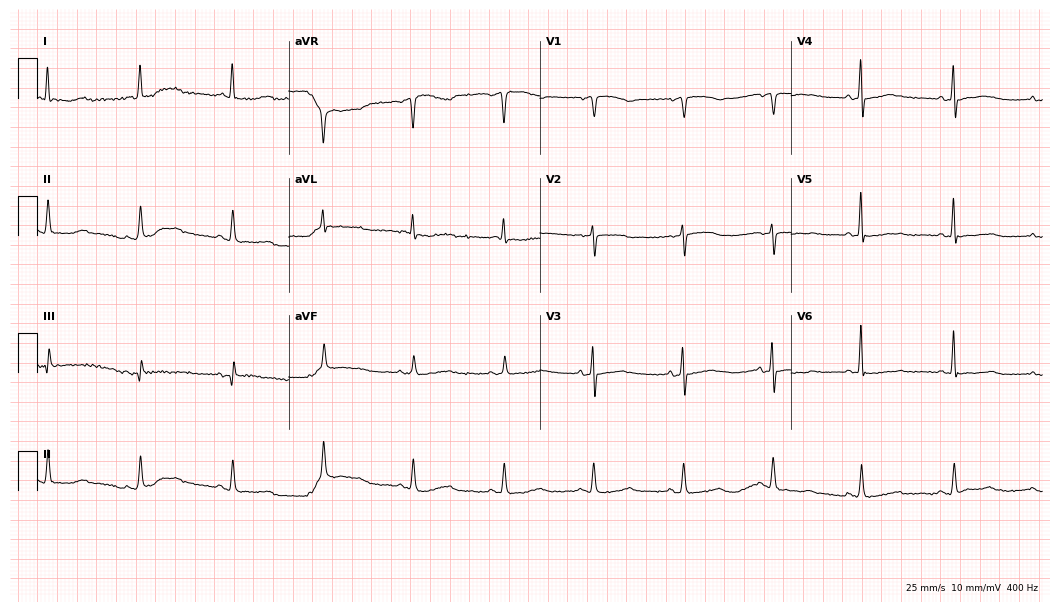
12-lead ECG (10.2-second recording at 400 Hz) from a female, 83 years old. Screened for six findings — first-degree AV block, right bundle branch block, left bundle branch block, sinus bradycardia, atrial fibrillation, sinus tachycardia — none is recorded. Findings outside these six are not listed.